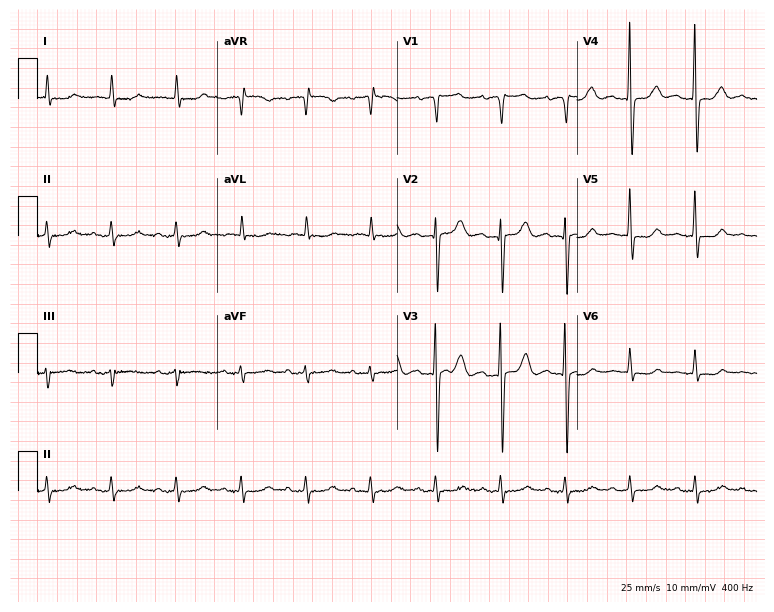
12-lead ECG (7.3-second recording at 400 Hz) from an 87-year-old woman. Screened for six findings — first-degree AV block, right bundle branch block, left bundle branch block, sinus bradycardia, atrial fibrillation, sinus tachycardia — none is recorded.